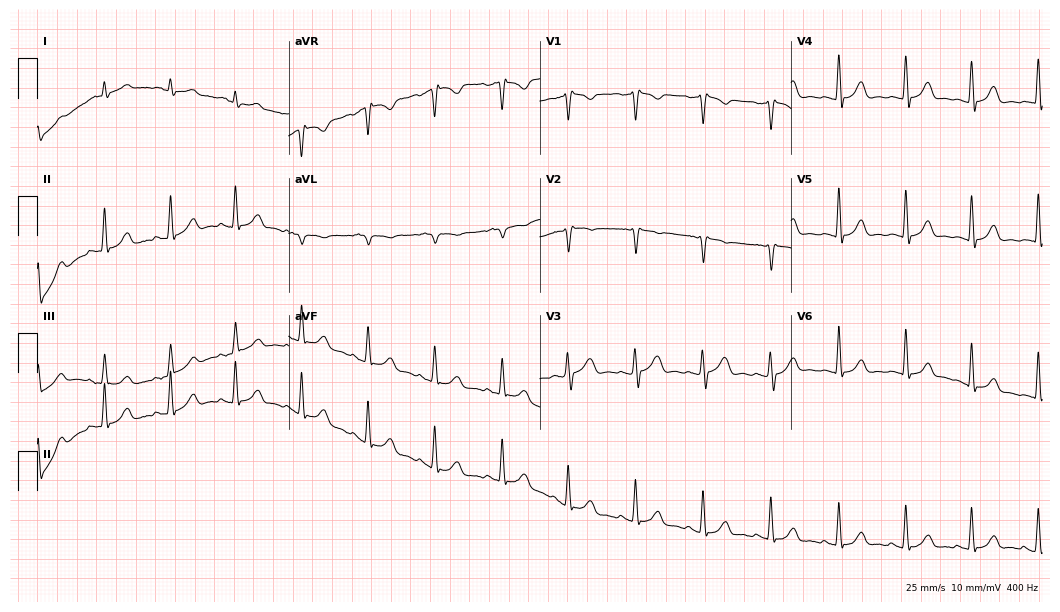
Resting 12-lead electrocardiogram (10.2-second recording at 400 Hz). Patient: a 47-year-old male. None of these six findings is recorded: first-degree AV block, right bundle branch block (RBBB), left bundle branch block (LBBB), sinus bradycardia, atrial fibrillation (AF), sinus tachycardia.